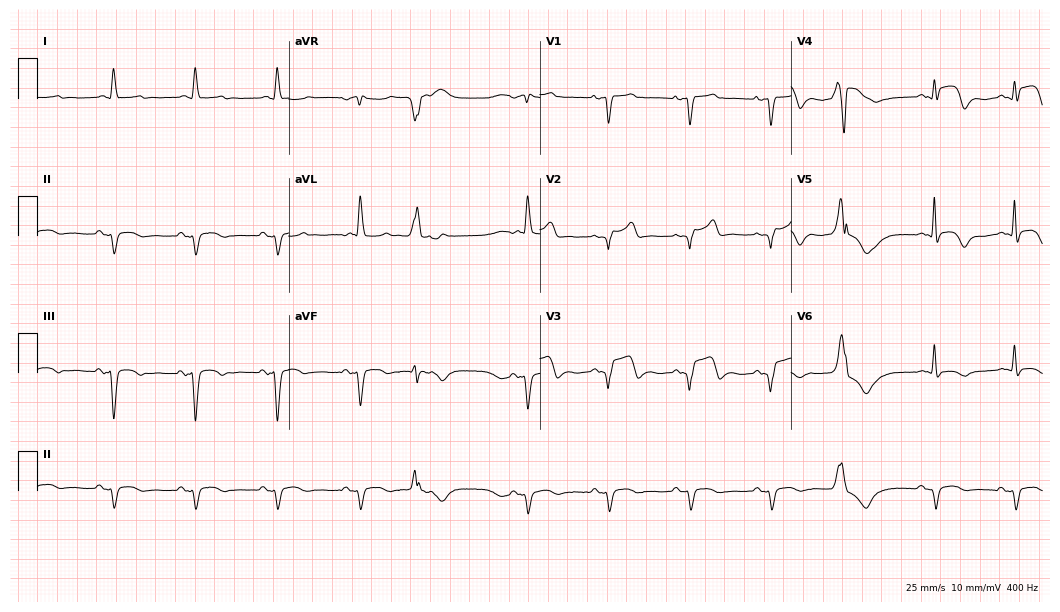
Electrocardiogram, an 81-year-old male patient. Of the six screened findings (first-degree AV block, right bundle branch block (RBBB), left bundle branch block (LBBB), sinus bradycardia, atrial fibrillation (AF), sinus tachycardia), none is recorded.